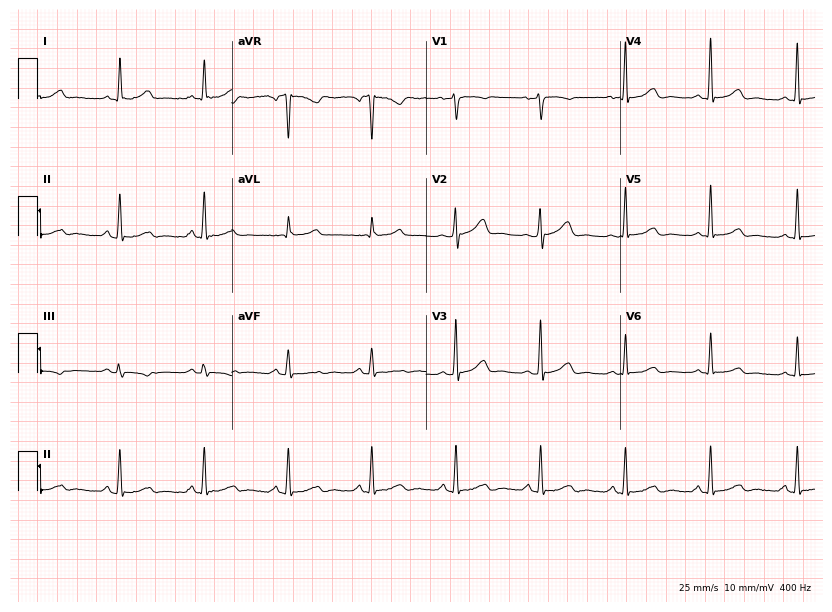
Resting 12-lead electrocardiogram. Patient: a 51-year-old woman. None of these six findings is recorded: first-degree AV block, right bundle branch block, left bundle branch block, sinus bradycardia, atrial fibrillation, sinus tachycardia.